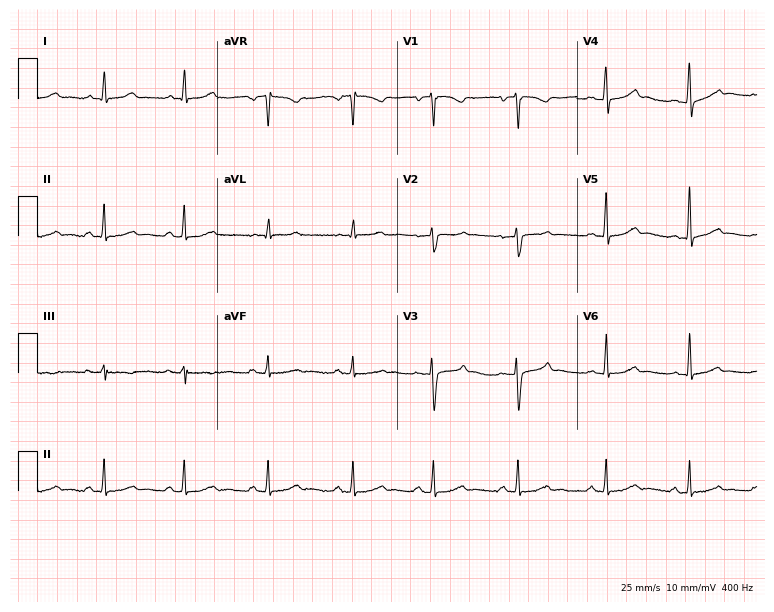
ECG — a female, 26 years old. Screened for six findings — first-degree AV block, right bundle branch block, left bundle branch block, sinus bradycardia, atrial fibrillation, sinus tachycardia — none is recorded. Only these six findings were labelled.